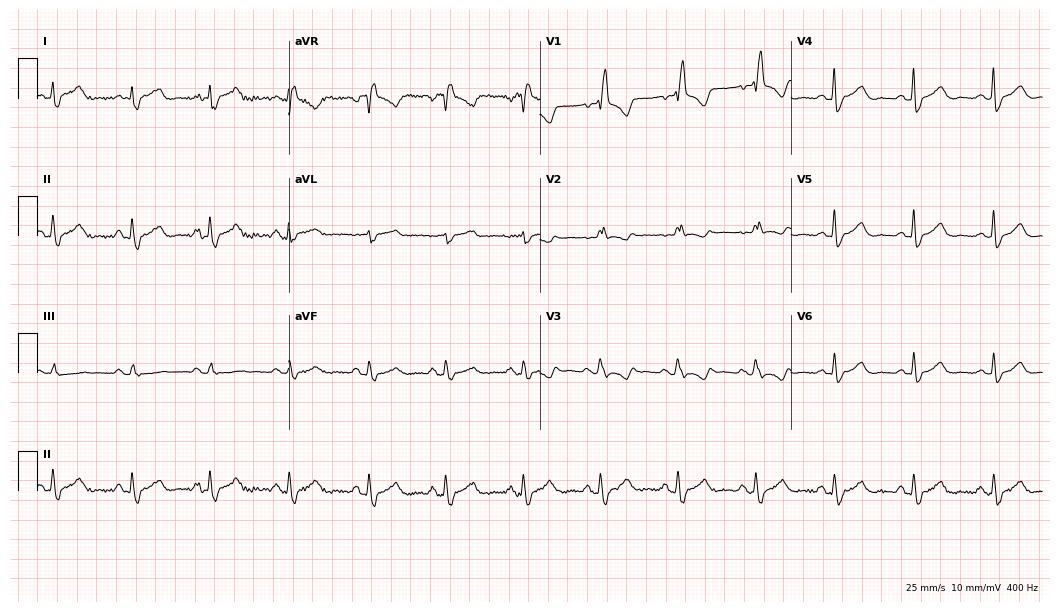
Standard 12-lead ECG recorded from a female, 48 years old. The tracing shows right bundle branch block.